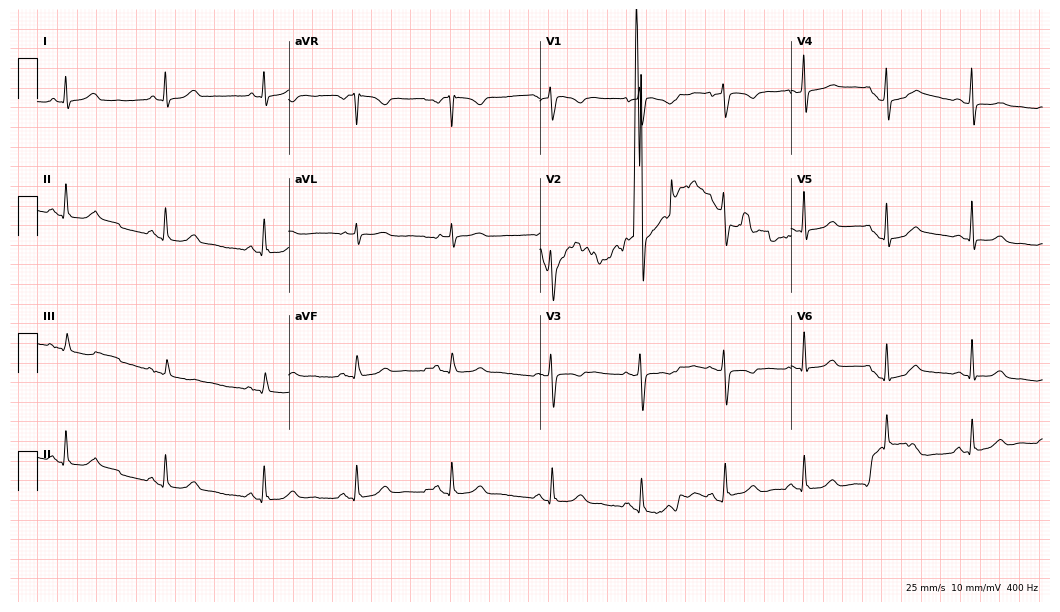
12-lead ECG from a 31-year-old woman (10.2-second recording at 400 Hz). No first-degree AV block, right bundle branch block, left bundle branch block, sinus bradycardia, atrial fibrillation or sinus tachycardia recorded for this tracing.